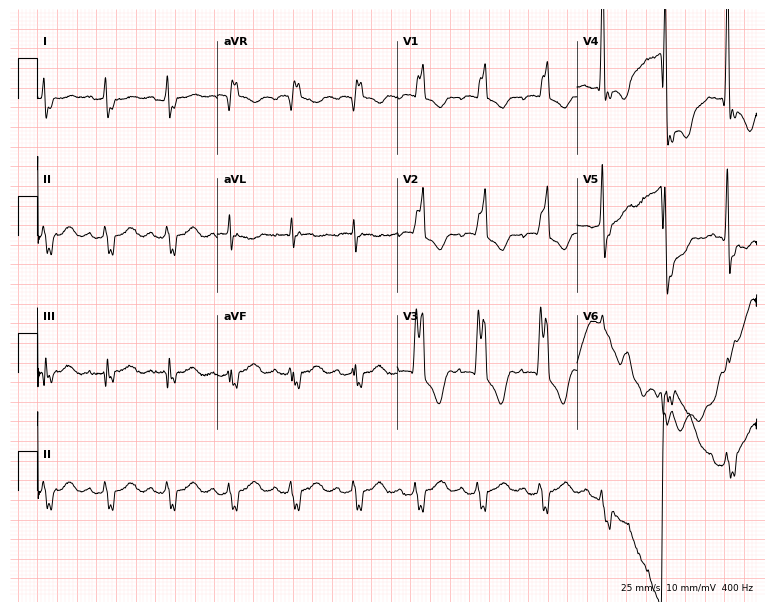
12-lead ECG (7.3-second recording at 400 Hz) from a male patient, 76 years old. Screened for six findings — first-degree AV block, right bundle branch block (RBBB), left bundle branch block (LBBB), sinus bradycardia, atrial fibrillation (AF), sinus tachycardia — none is recorded. Findings outside these six are not listed.